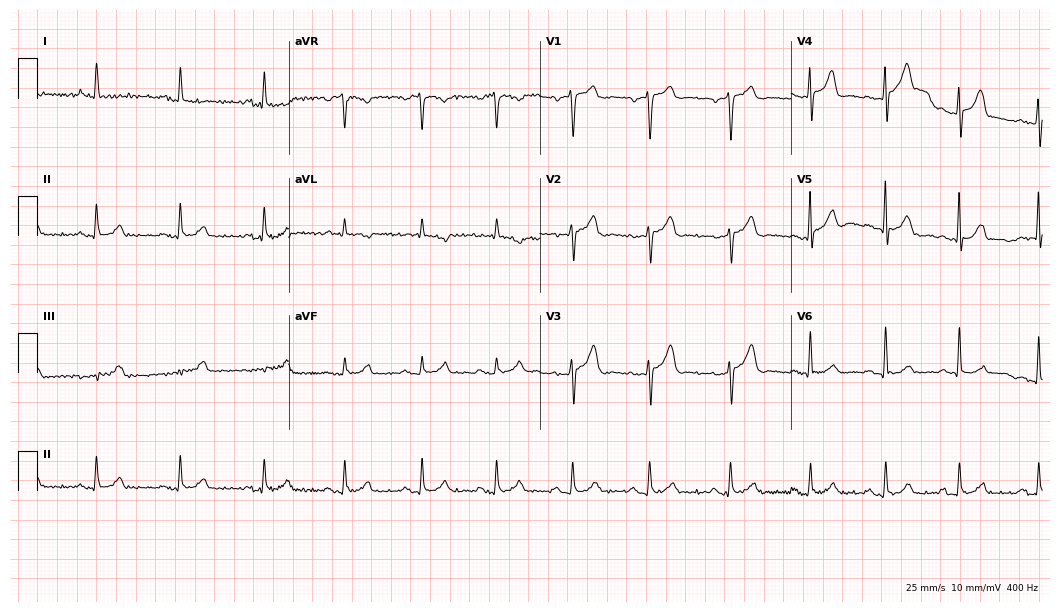
Electrocardiogram (10.2-second recording at 400 Hz), a male, 59 years old. Overall reading on record: normal ECG.